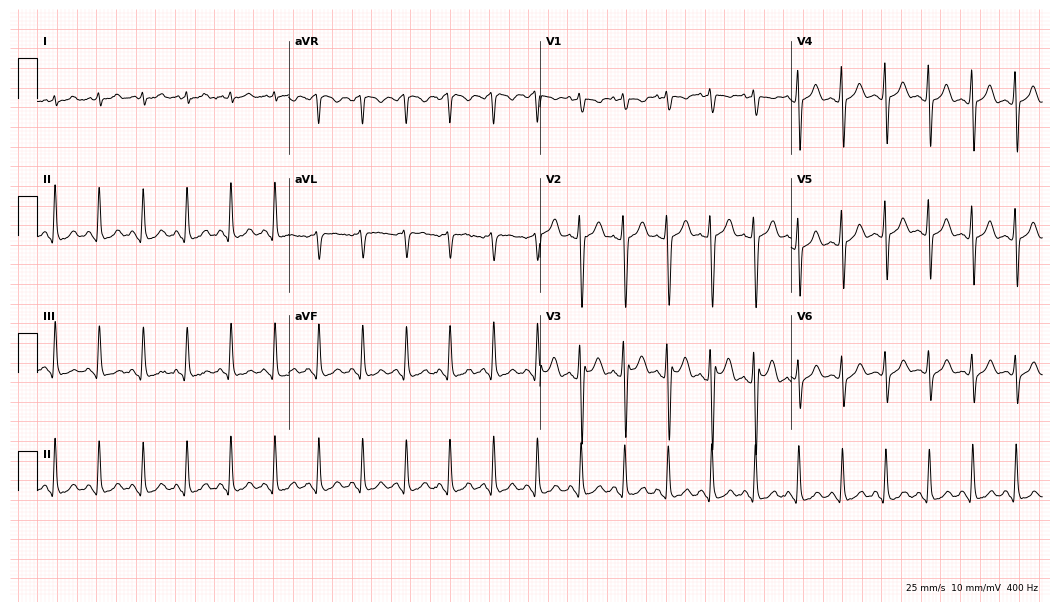
12-lead ECG (10.2-second recording at 400 Hz) from a 26-year-old male patient. Findings include sinus tachycardia (a sinus rate of 100 beats per minute or more).